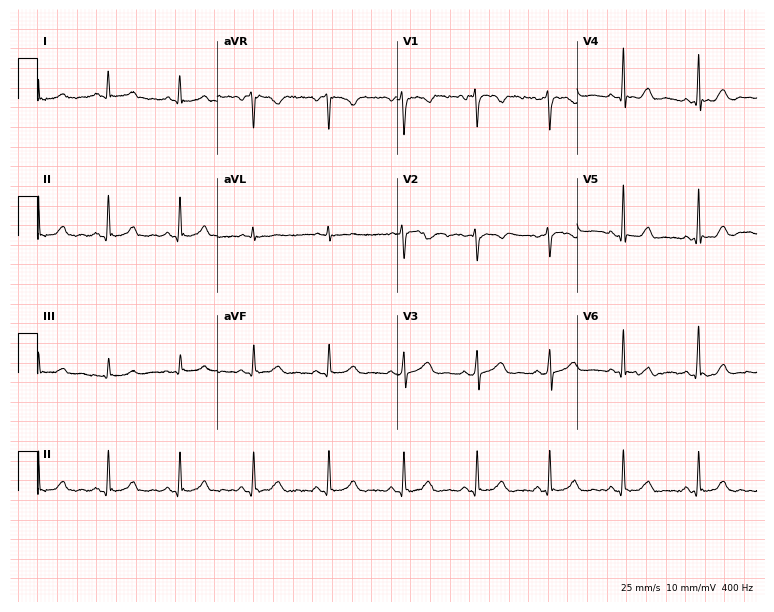
Standard 12-lead ECG recorded from a 39-year-old female (7.3-second recording at 400 Hz). Read as a normal ECG.